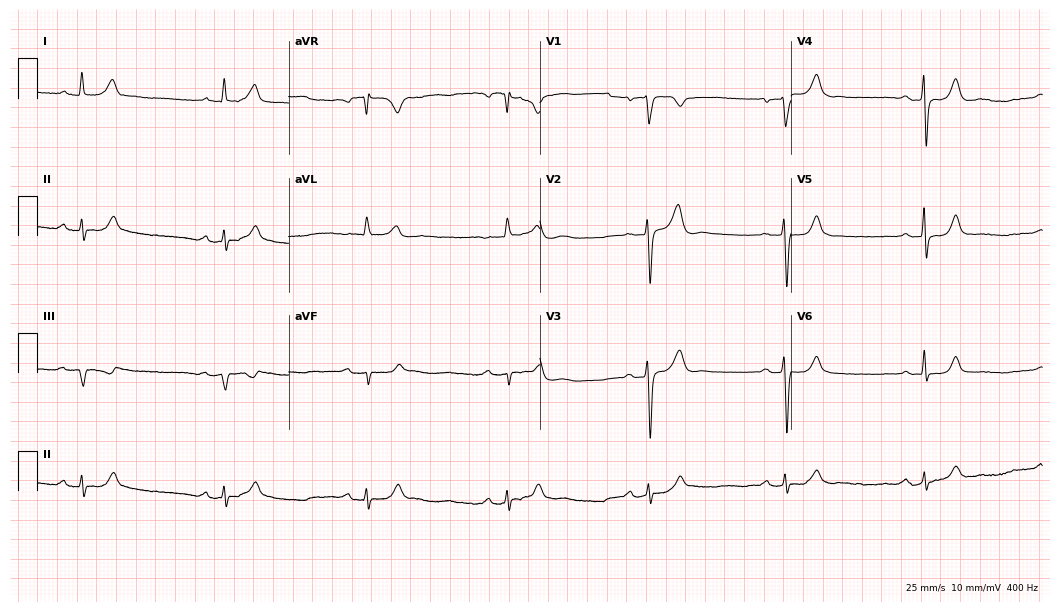
Electrocardiogram (10.2-second recording at 400 Hz), a male, 71 years old. Of the six screened findings (first-degree AV block, right bundle branch block, left bundle branch block, sinus bradycardia, atrial fibrillation, sinus tachycardia), none is recorded.